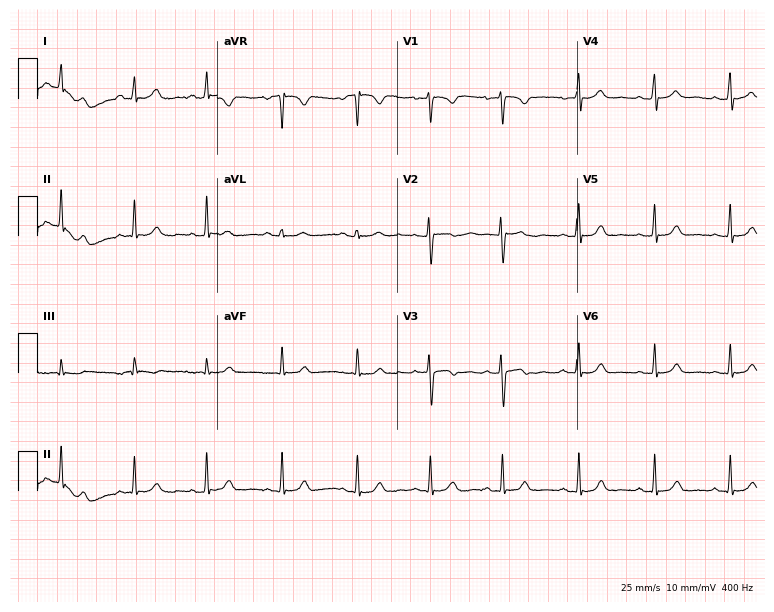
12-lead ECG from a female patient, 22 years old. Labelled as a normal ECG.